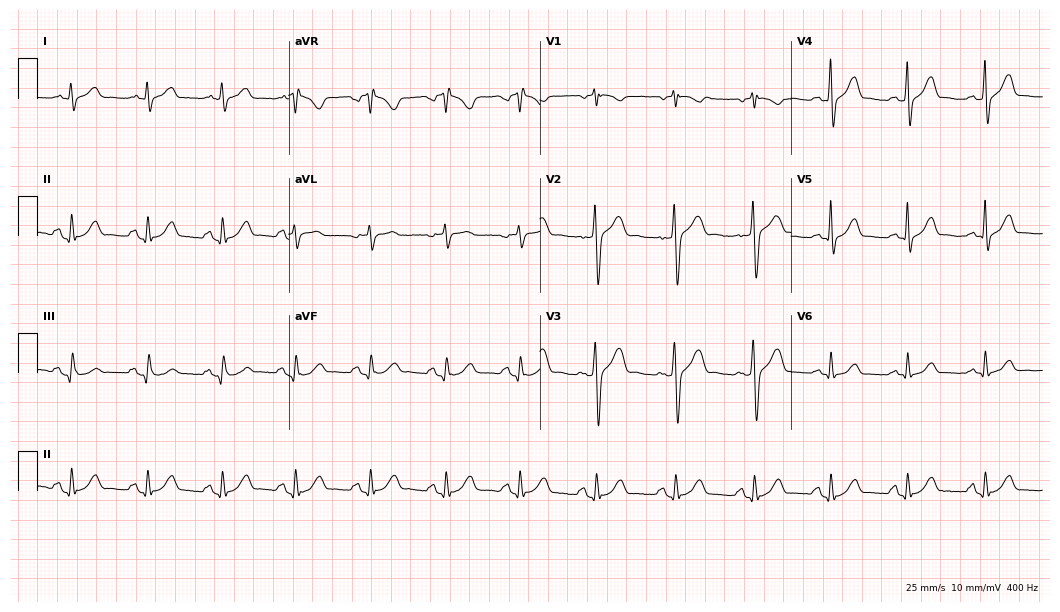
Resting 12-lead electrocardiogram. Patient: a 36-year-old male. Read as a normal ECG.